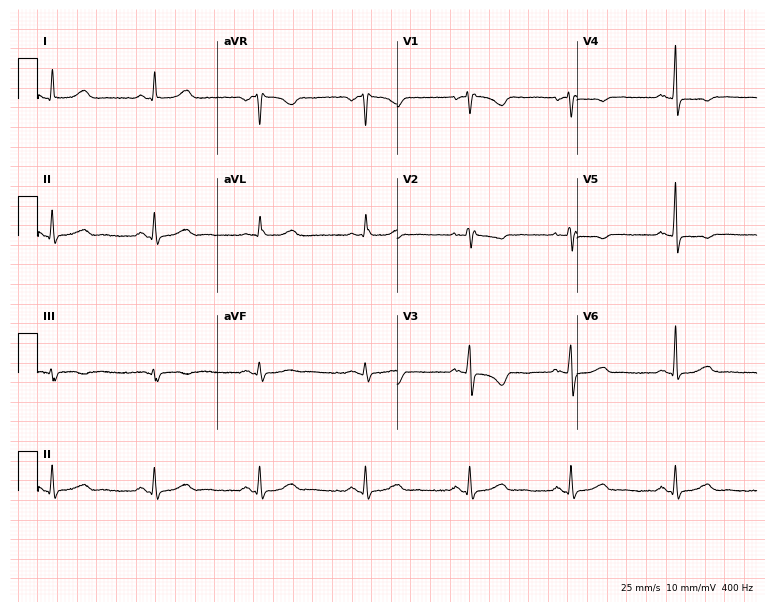
Standard 12-lead ECG recorded from a woman, 52 years old (7.3-second recording at 400 Hz). None of these six findings is recorded: first-degree AV block, right bundle branch block, left bundle branch block, sinus bradycardia, atrial fibrillation, sinus tachycardia. Other findings, if any, are not listed.